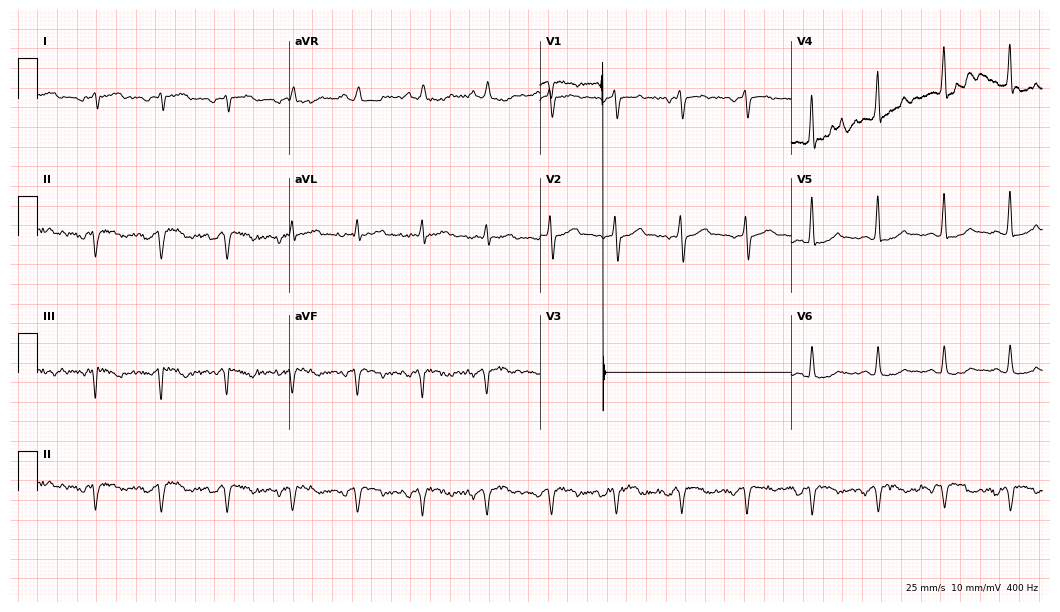
12-lead ECG from a 42-year-old man (10.2-second recording at 400 Hz). No first-degree AV block, right bundle branch block, left bundle branch block, sinus bradycardia, atrial fibrillation or sinus tachycardia recorded for this tracing. Only these six findings were labelled.